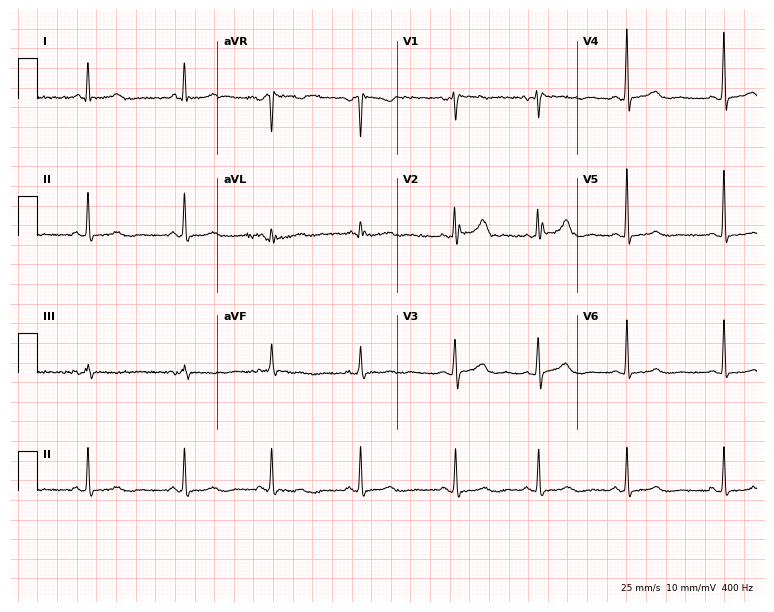
Standard 12-lead ECG recorded from a 44-year-old female patient (7.3-second recording at 400 Hz). None of these six findings is recorded: first-degree AV block, right bundle branch block (RBBB), left bundle branch block (LBBB), sinus bradycardia, atrial fibrillation (AF), sinus tachycardia.